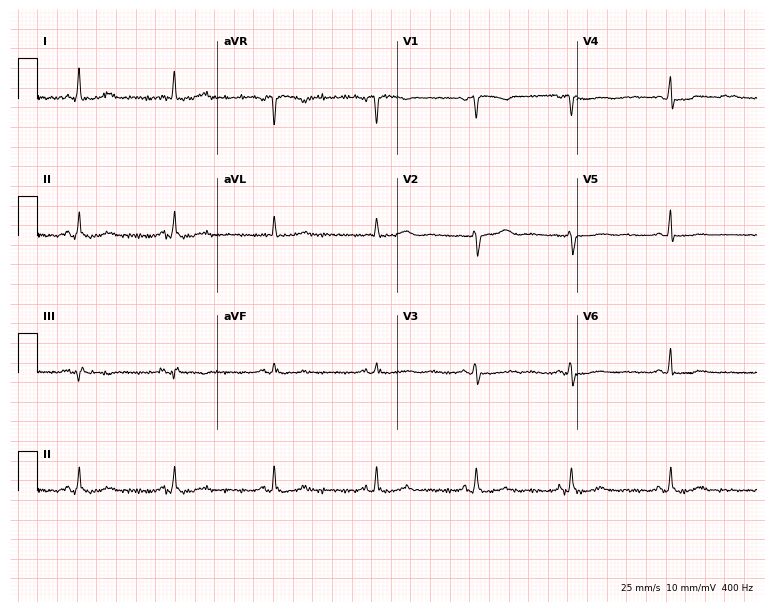
Resting 12-lead electrocardiogram (7.3-second recording at 400 Hz). Patient: a 55-year-old woman. Read as a normal ECG.